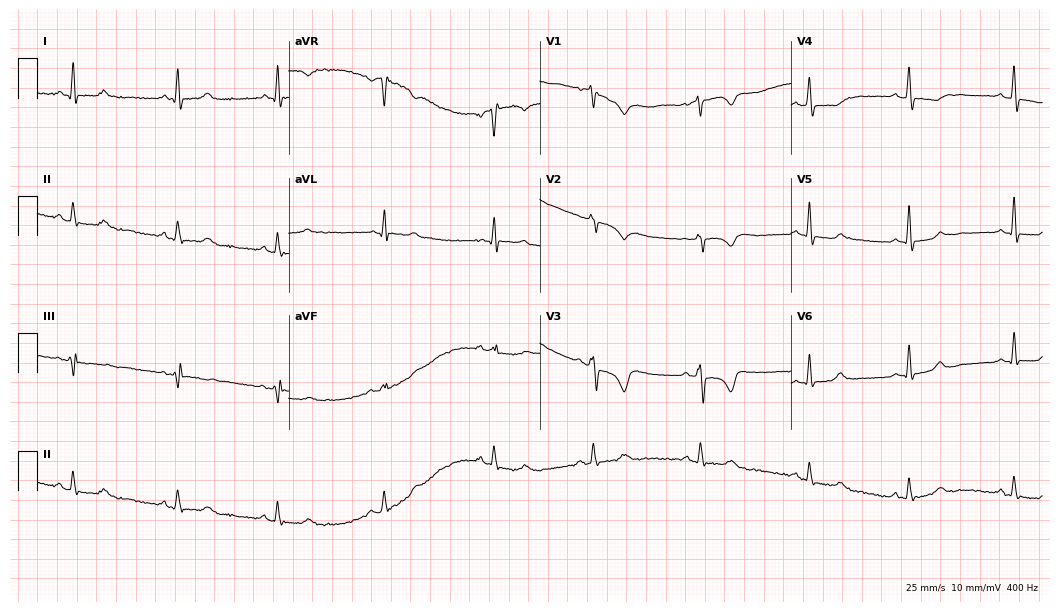
ECG (10.2-second recording at 400 Hz) — a 60-year-old woman. Labelled as a normal ECG.